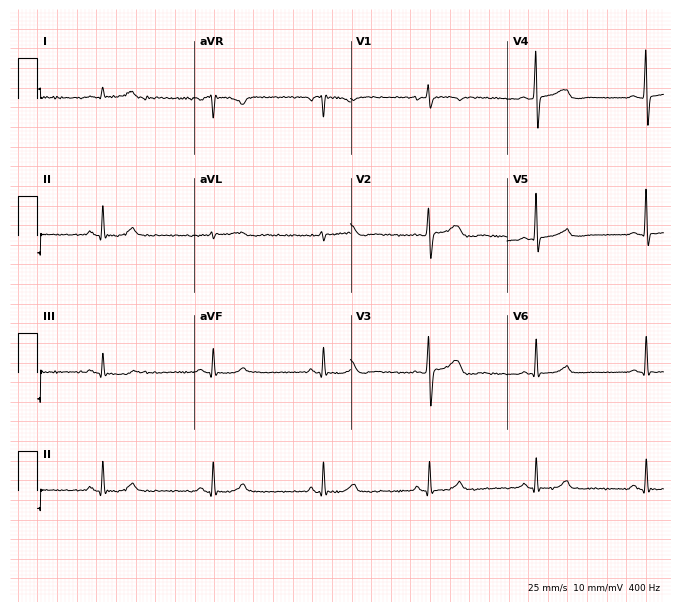
12-lead ECG from a 53-year-old female patient (6.4-second recording at 400 Hz). No first-degree AV block, right bundle branch block, left bundle branch block, sinus bradycardia, atrial fibrillation or sinus tachycardia recorded for this tracing. Other findings, if any, are not listed.